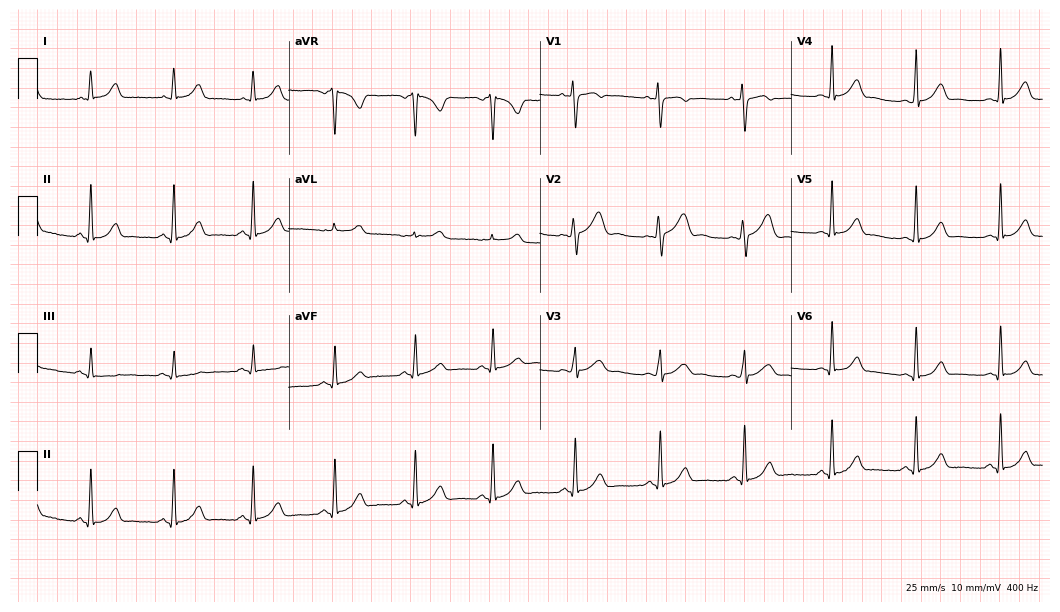
12-lead ECG from a 24-year-old female patient. Recorded interpretation: within normal limits.